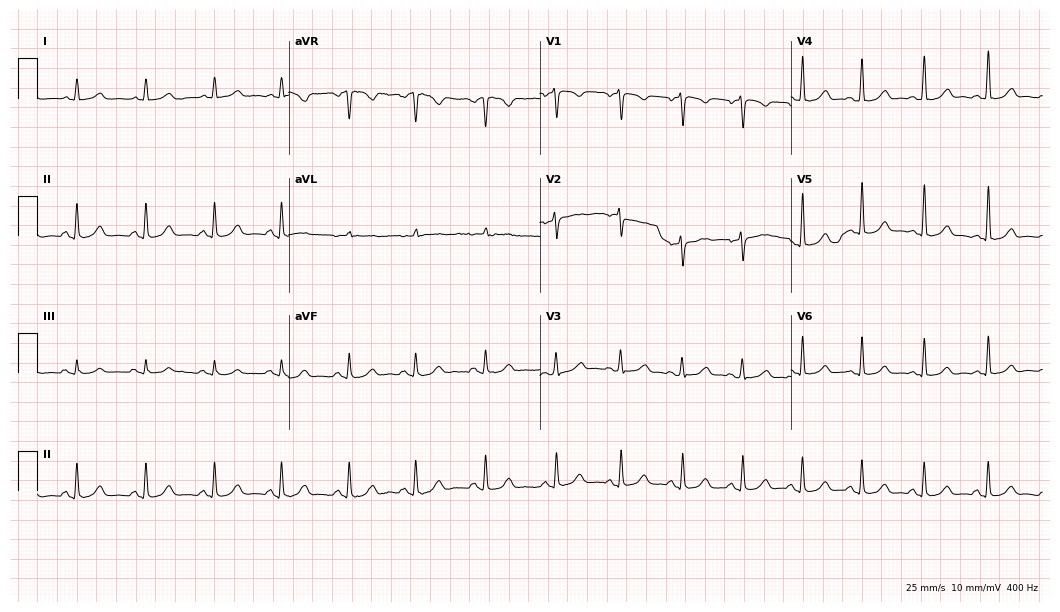
ECG — a woman, 22 years old. Screened for six findings — first-degree AV block, right bundle branch block, left bundle branch block, sinus bradycardia, atrial fibrillation, sinus tachycardia — none is recorded.